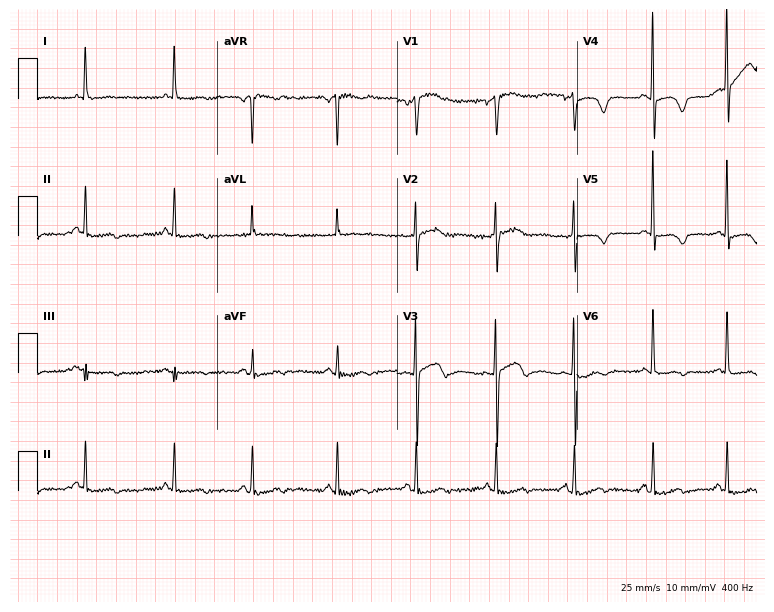
Standard 12-lead ECG recorded from a female, 80 years old (7.3-second recording at 400 Hz). None of these six findings is recorded: first-degree AV block, right bundle branch block, left bundle branch block, sinus bradycardia, atrial fibrillation, sinus tachycardia. Other findings, if any, are not listed.